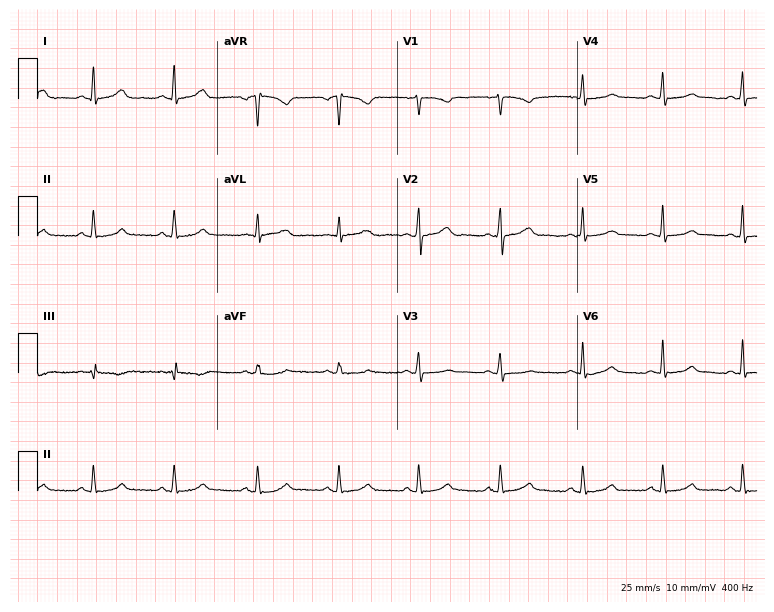
12-lead ECG (7.3-second recording at 400 Hz) from a woman, 40 years old. Labelled as a normal ECG.